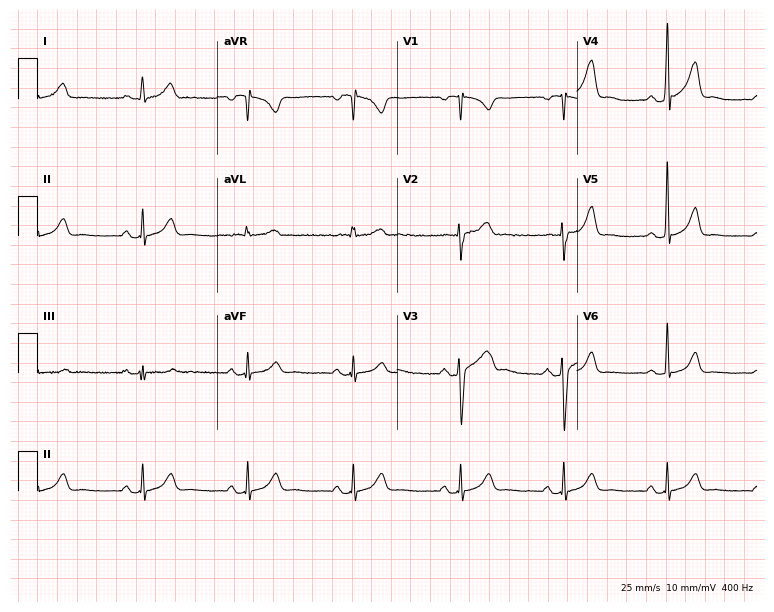
Resting 12-lead electrocardiogram. Patient: a man, 53 years old. Read as a normal ECG.